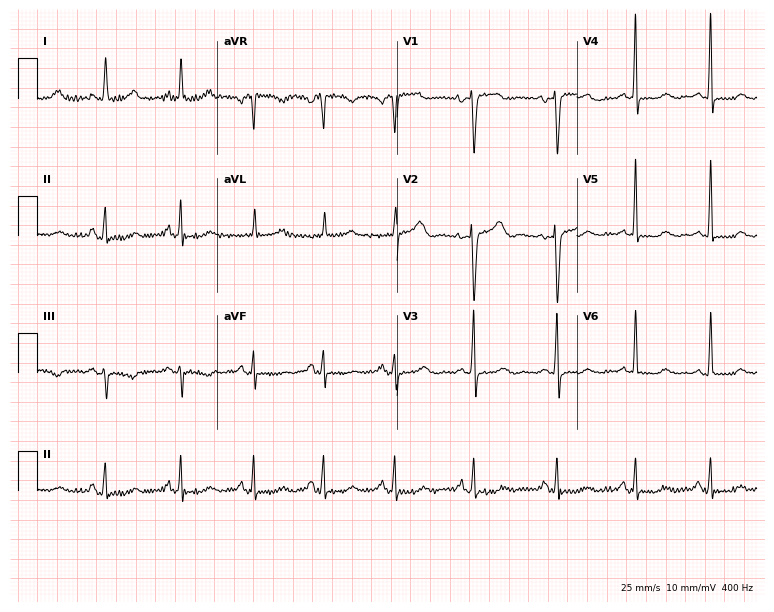
ECG (7.3-second recording at 400 Hz) — a female, 66 years old. Screened for six findings — first-degree AV block, right bundle branch block (RBBB), left bundle branch block (LBBB), sinus bradycardia, atrial fibrillation (AF), sinus tachycardia — none is recorded.